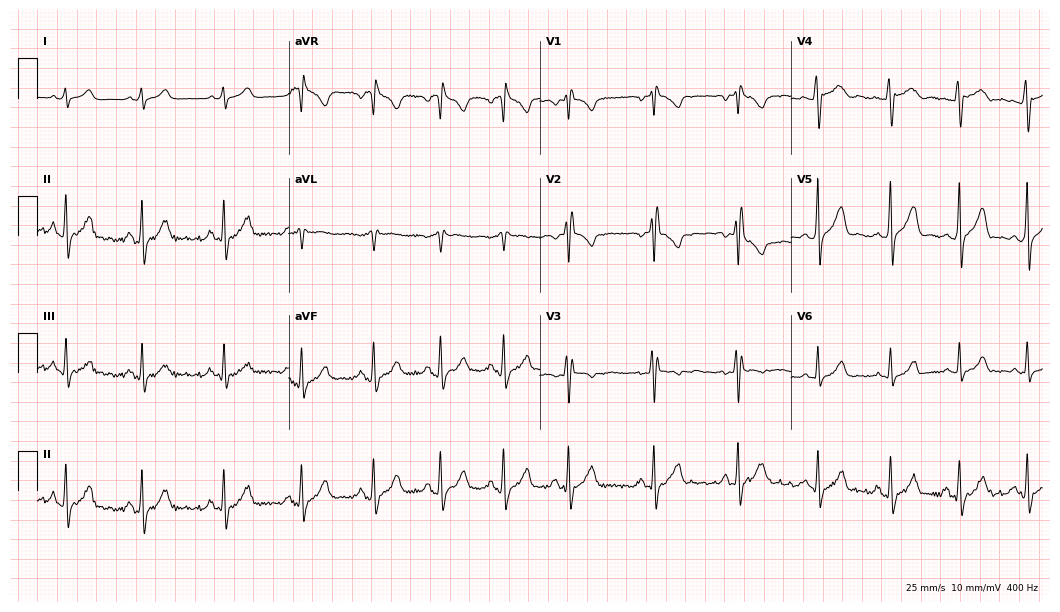
Standard 12-lead ECG recorded from a male, 20 years old. None of these six findings is recorded: first-degree AV block, right bundle branch block (RBBB), left bundle branch block (LBBB), sinus bradycardia, atrial fibrillation (AF), sinus tachycardia.